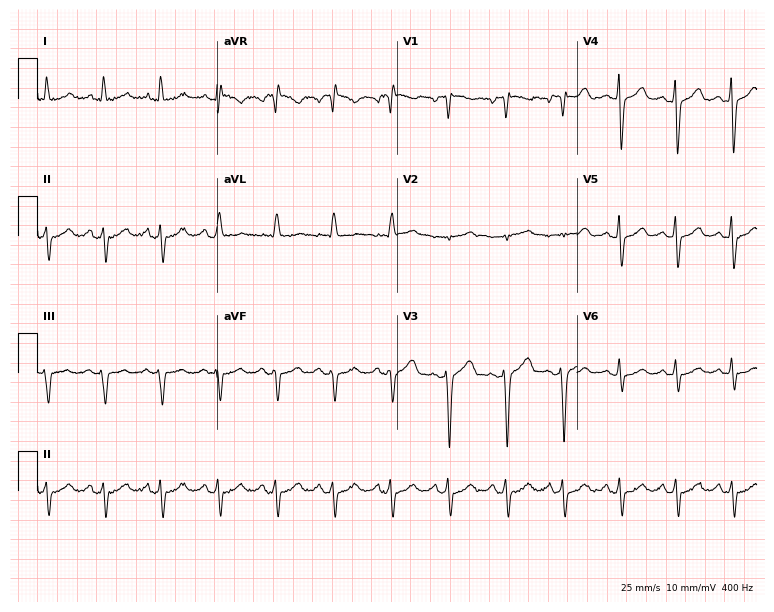
Electrocardiogram (7.3-second recording at 400 Hz), a female, 58 years old. Of the six screened findings (first-degree AV block, right bundle branch block, left bundle branch block, sinus bradycardia, atrial fibrillation, sinus tachycardia), none is recorded. Only these six findings were labelled.